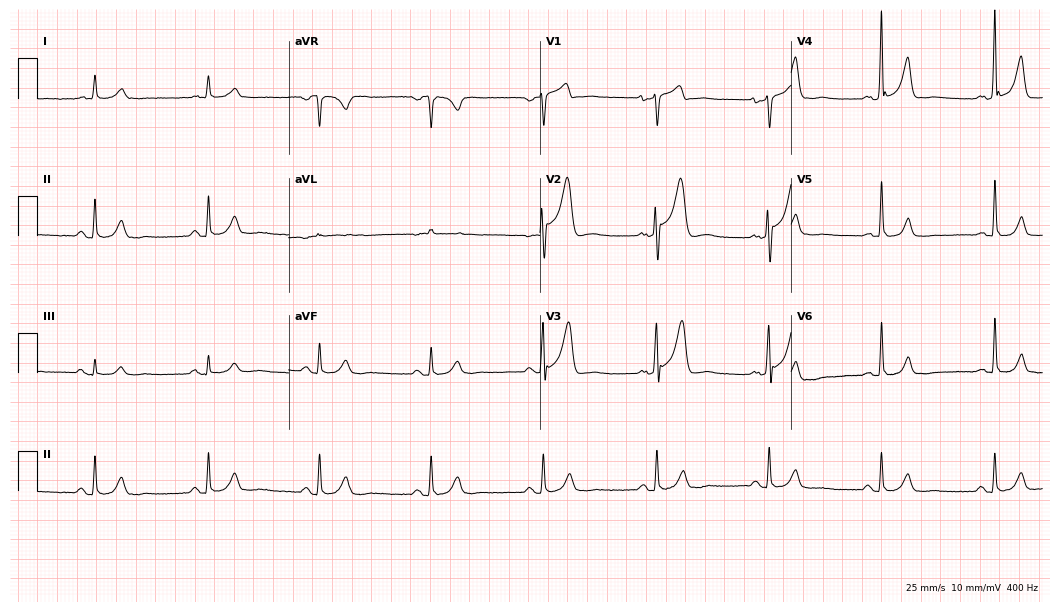
12-lead ECG from a 76-year-old male (10.2-second recording at 400 Hz). No first-degree AV block, right bundle branch block (RBBB), left bundle branch block (LBBB), sinus bradycardia, atrial fibrillation (AF) or sinus tachycardia recorded for this tracing. Other findings, if any, are not listed.